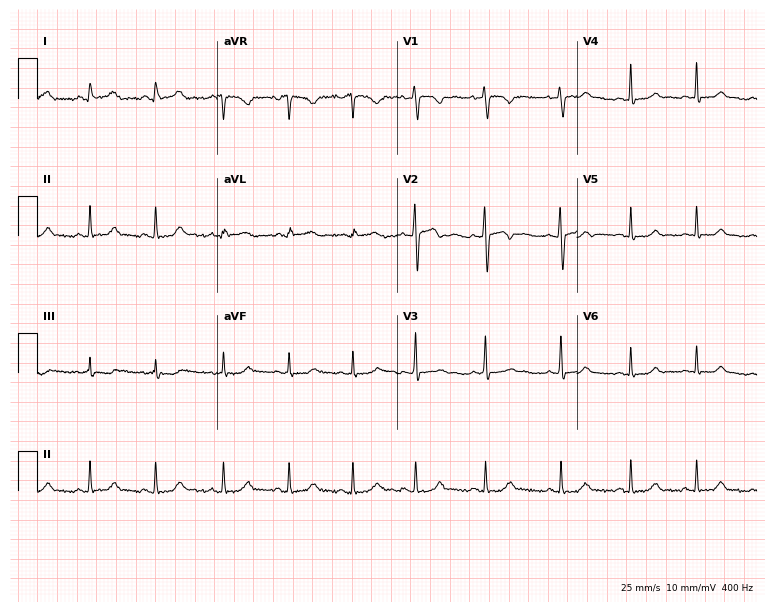
Electrocardiogram (7.3-second recording at 400 Hz), a 20-year-old female. Overall reading on record: normal ECG.